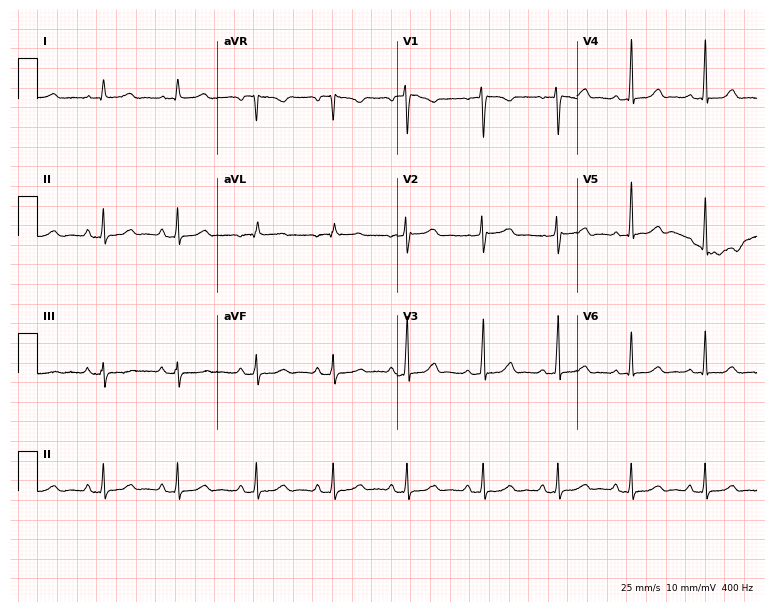
ECG (7.3-second recording at 400 Hz) — a 40-year-old woman. Labelled as a normal ECG.